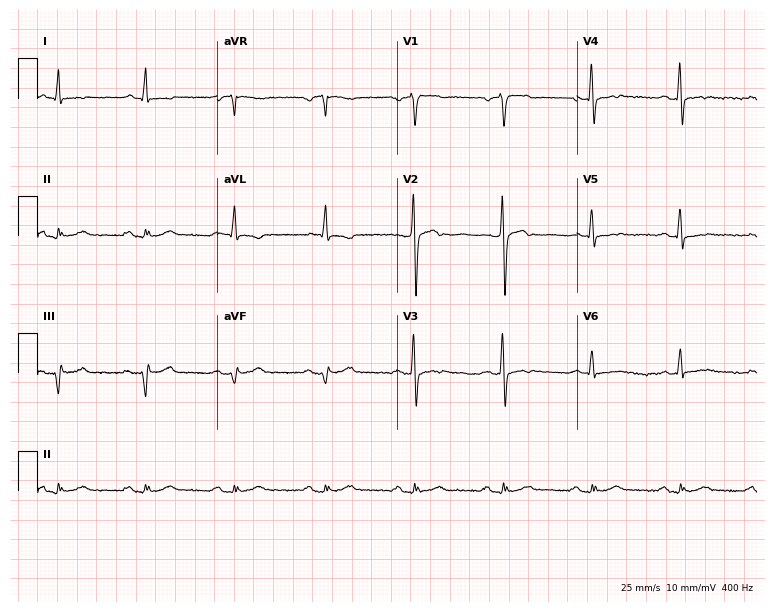
12-lead ECG from a 69-year-old male. Screened for six findings — first-degree AV block, right bundle branch block (RBBB), left bundle branch block (LBBB), sinus bradycardia, atrial fibrillation (AF), sinus tachycardia — none is recorded.